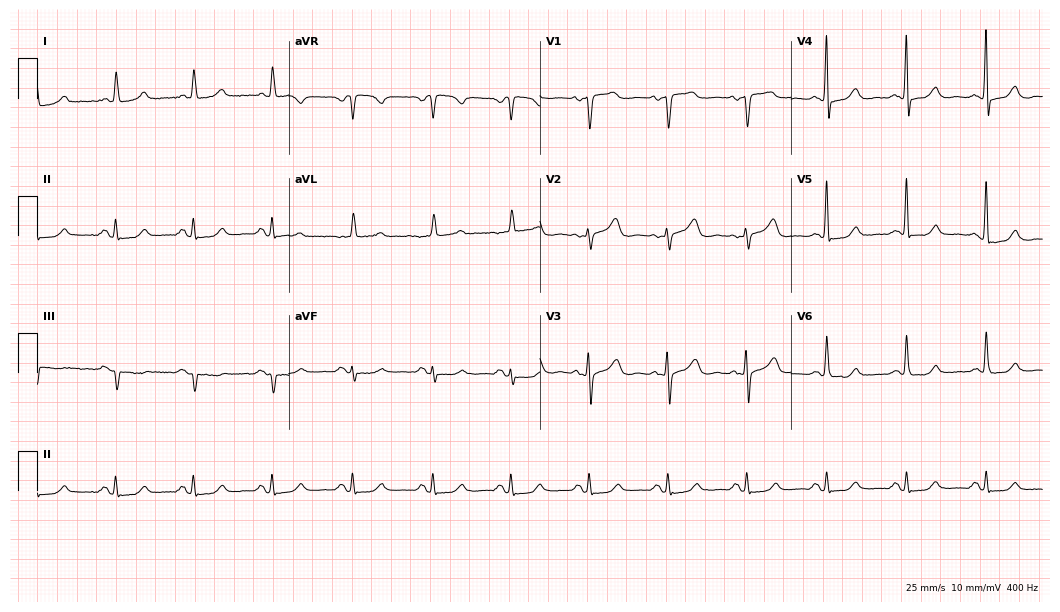
Electrocardiogram, an 85-year-old female. Overall reading on record: normal ECG.